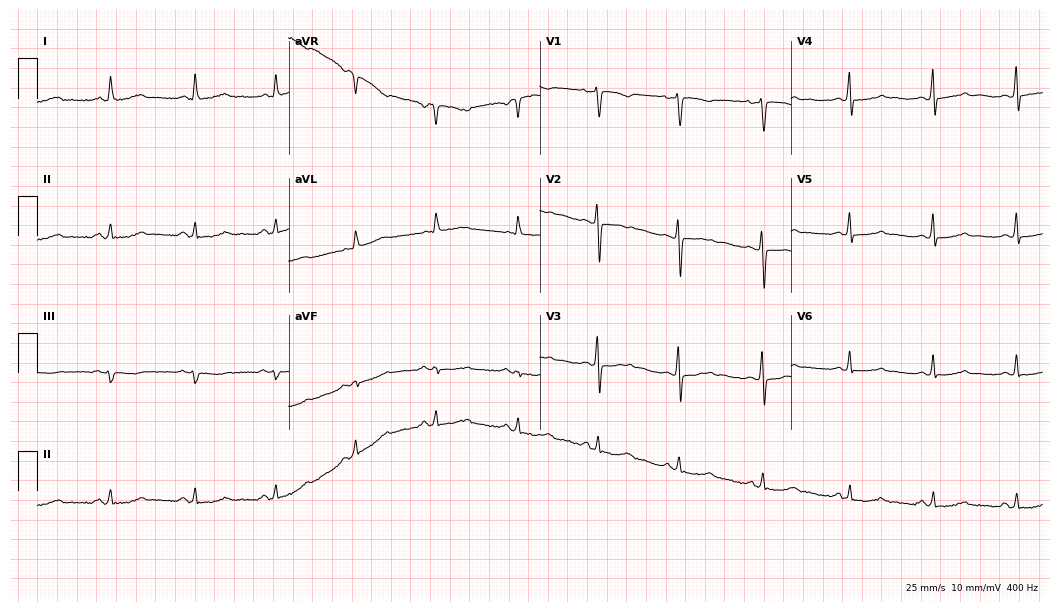
Standard 12-lead ECG recorded from a 55-year-old woman (10.2-second recording at 400 Hz). None of these six findings is recorded: first-degree AV block, right bundle branch block (RBBB), left bundle branch block (LBBB), sinus bradycardia, atrial fibrillation (AF), sinus tachycardia.